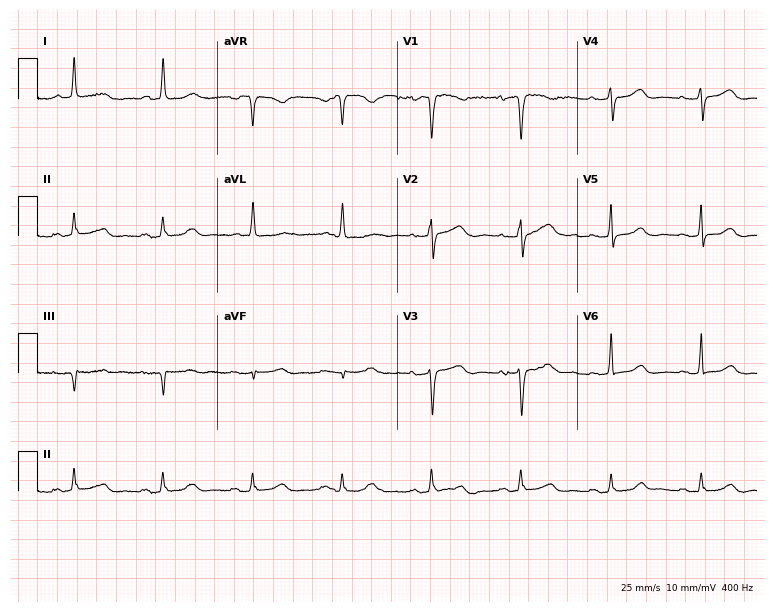
12-lead ECG (7.3-second recording at 400 Hz) from a 71-year-old woman. Labelled as a normal ECG.